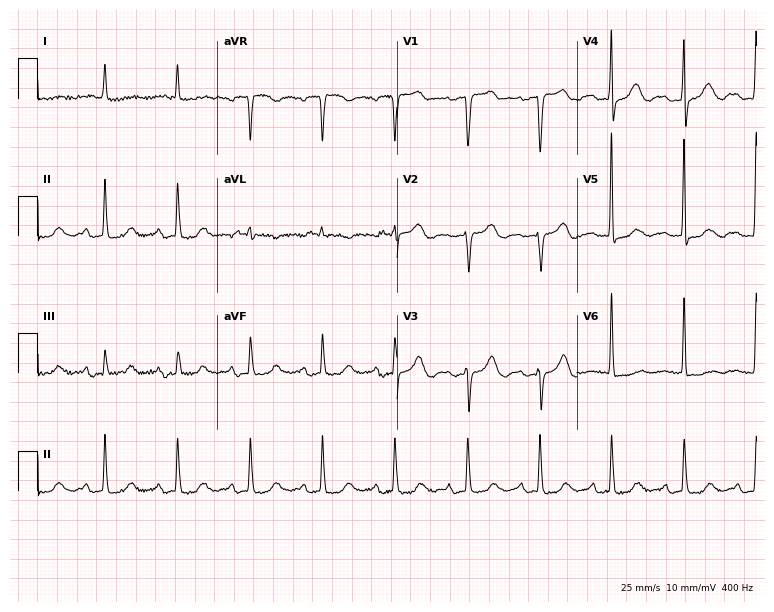
12-lead ECG from a female patient, 74 years old (7.3-second recording at 400 Hz). Recorded interpretation: within normal limits.